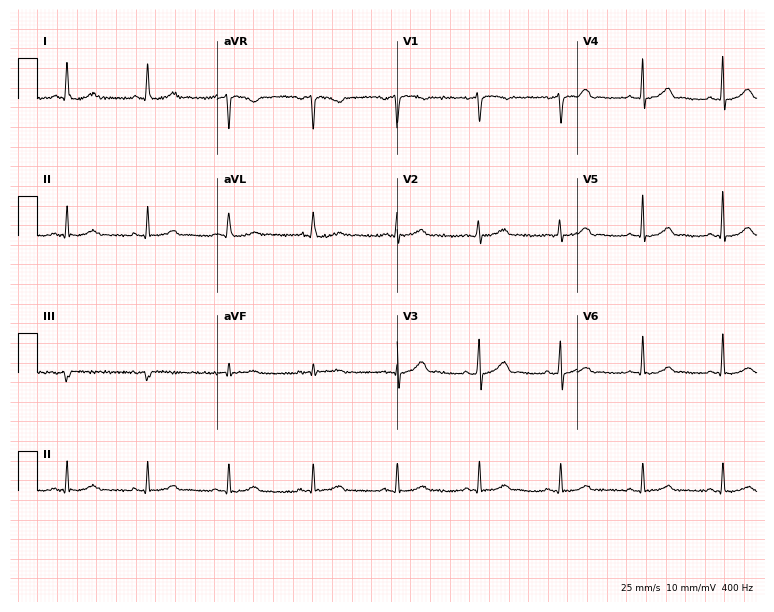
Resting 12-lead electrocardiogram. Patient: a female, 56 years old. Read as a normal ECG.